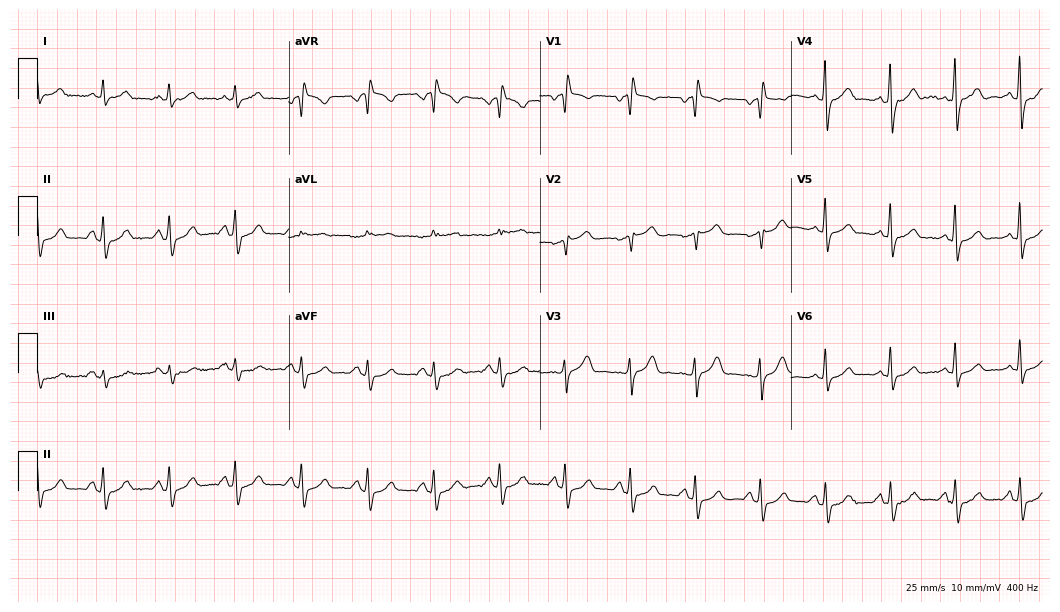
12-lead ECG from a woman, 59 years old. Screened for six findings — first-degree AV block, right bundle branch block (RBBB), left bundle branch block (LBBB), sinus bradycardia, atrial fibrillation (AF), sinus tachycardia — none is recorded. Only these six findings were labelled.